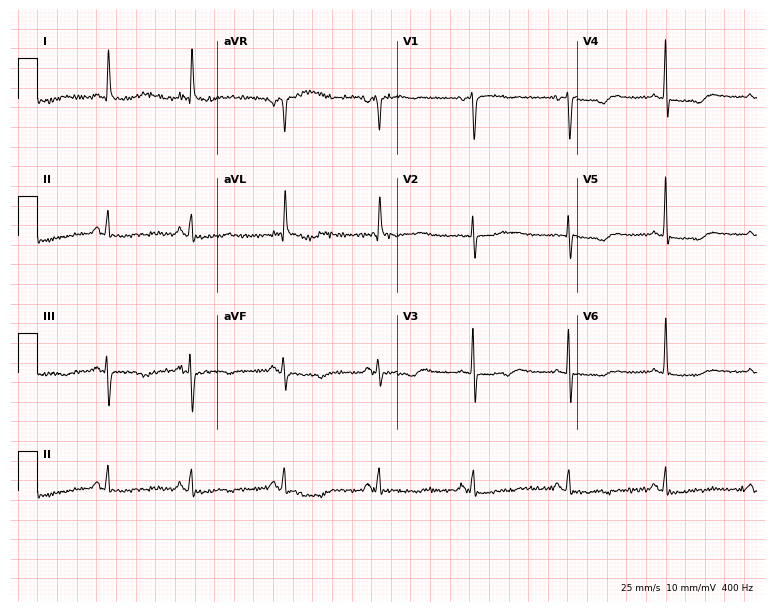
12-lead ECG from a 66-year-old female (7.3-second recording at 400 Hz). No first-degree AV block, right bundle branch block (RBBB), left bundle branch block (LBBB), sinus bradycardia, atrial fibrillation (AF) or sinus tachycardia recorded for this tracing. Findings outside these six are not listed.